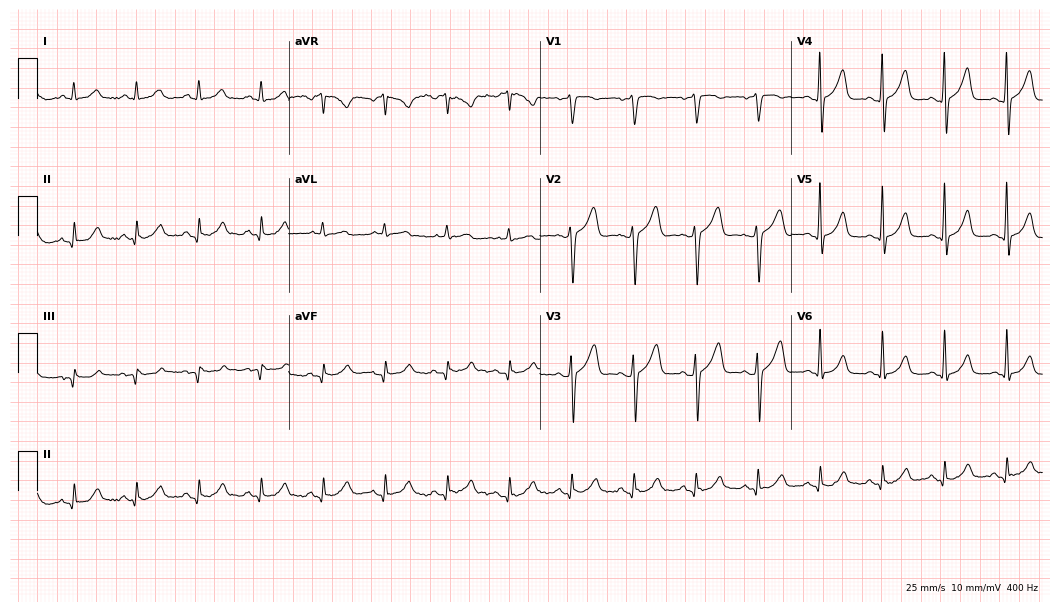
Electrocardiogram, a man, 56 years old. Overall reading on record: normal ECG.